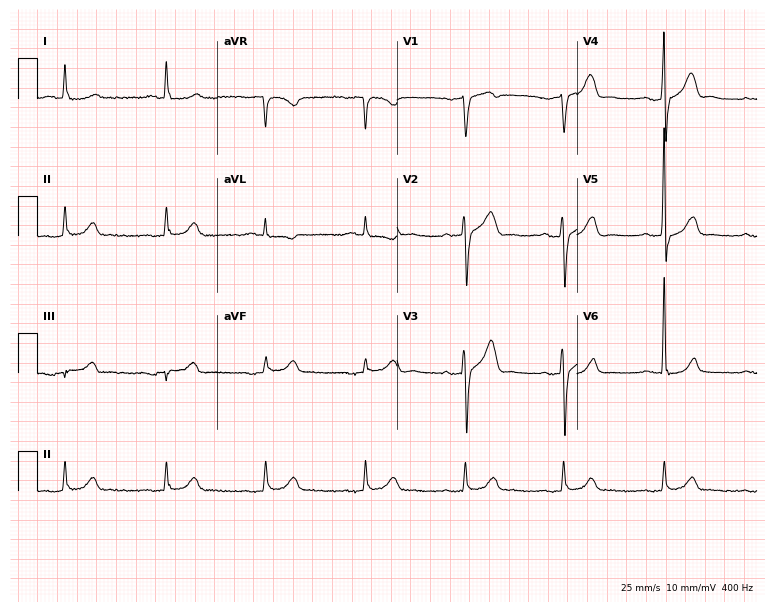
Standard 12-lead ECG recorded from a man, 83 years old. Read as a normal ECG.